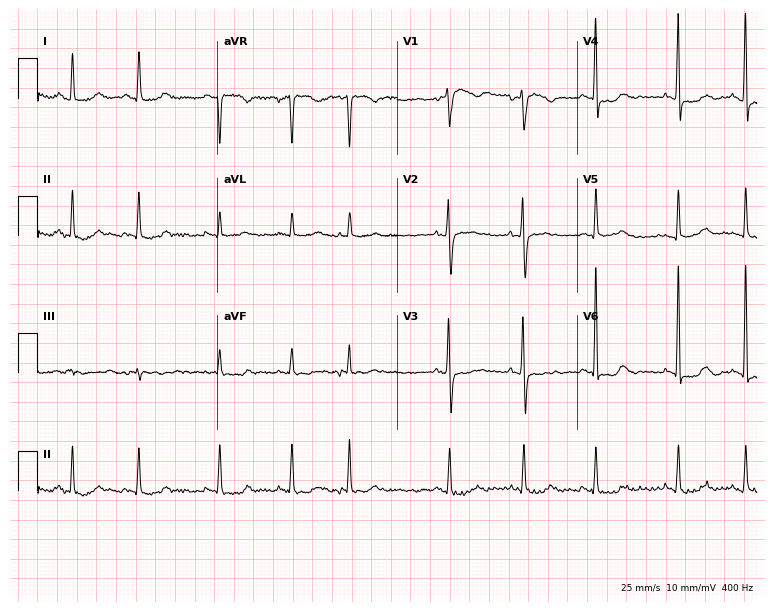
Electrocardiogram, a 74-year-old female patient. Of the six screened findings (first-degree AV block, right bundle branch block (RBBB), left bundle branch block (LBBB), sinus bradycardia, atrial fibrillation (AF), sinus tachycardia), none is recorded.